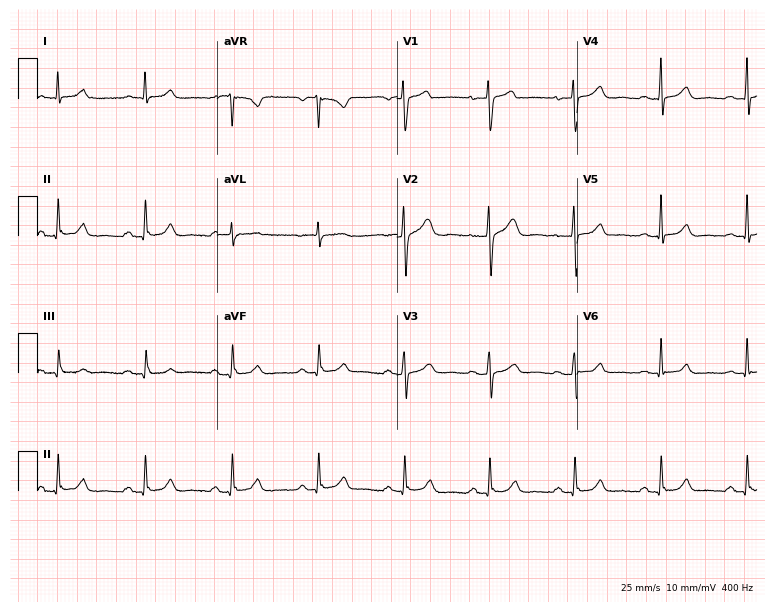
ECG — a woman, 51 years old. Labelled as a normal ECG.